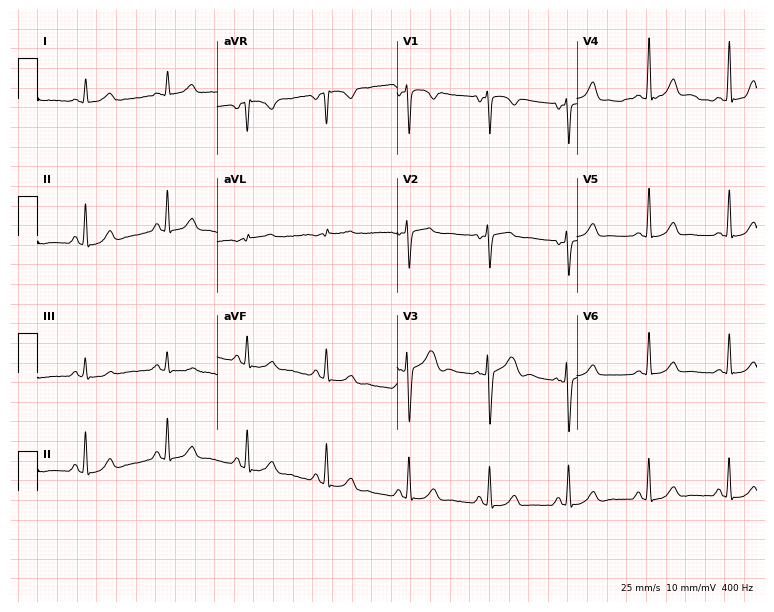
Electrocardiogram, a 43-year-old woman. Of the six screened findings (first-degree AV block, right bundle branch block, left bundle branch block, sinus bradycardia, atrial fibrillation, sinus tachycardia), none is recorded. Findings outside these six are not listed.